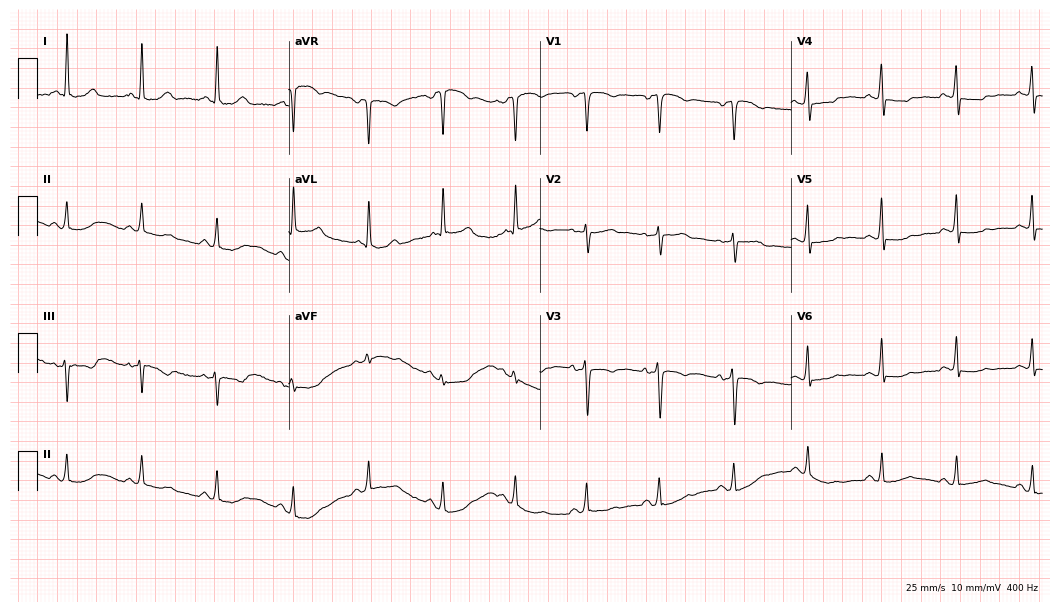
Standard 12-lead ECG recorded from a 66-year-old woman. None of these six findings is recorded: first-degree AV block, right bundle branch block, left bundle branch block, sinus bradycardia, atrial fibrillation, sinus tachycardia.